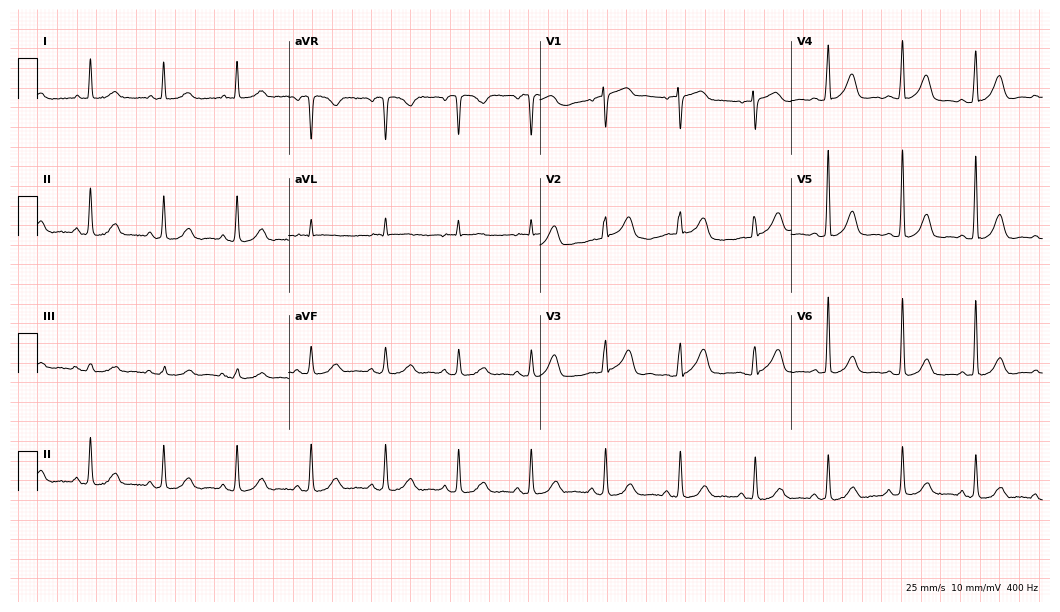
12-lead ECG (10.2-second recording at 400 Hz) from a female patient, 85 years old. Labelled as a normal ECG.